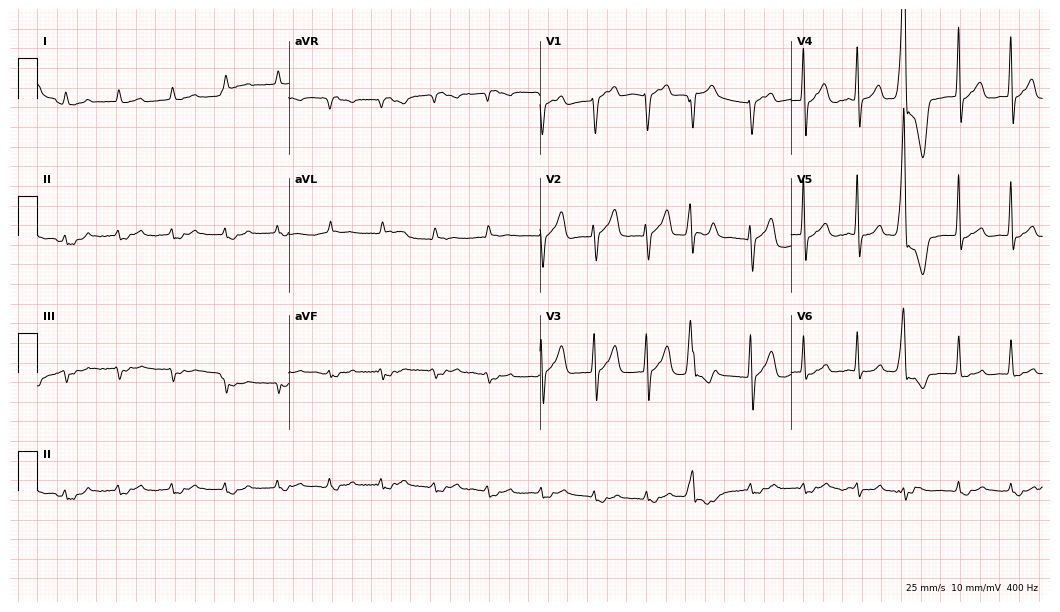
ECG — an 87-year-old man. Screened for six findings — first-degree AV block, right bundle branch block (RBBB), left bundle branch block (LBBB), sinus bradycardia, atrial fibrillation (AF), sinus tachycardia — none is recorded. Findings outside these six are not listed.